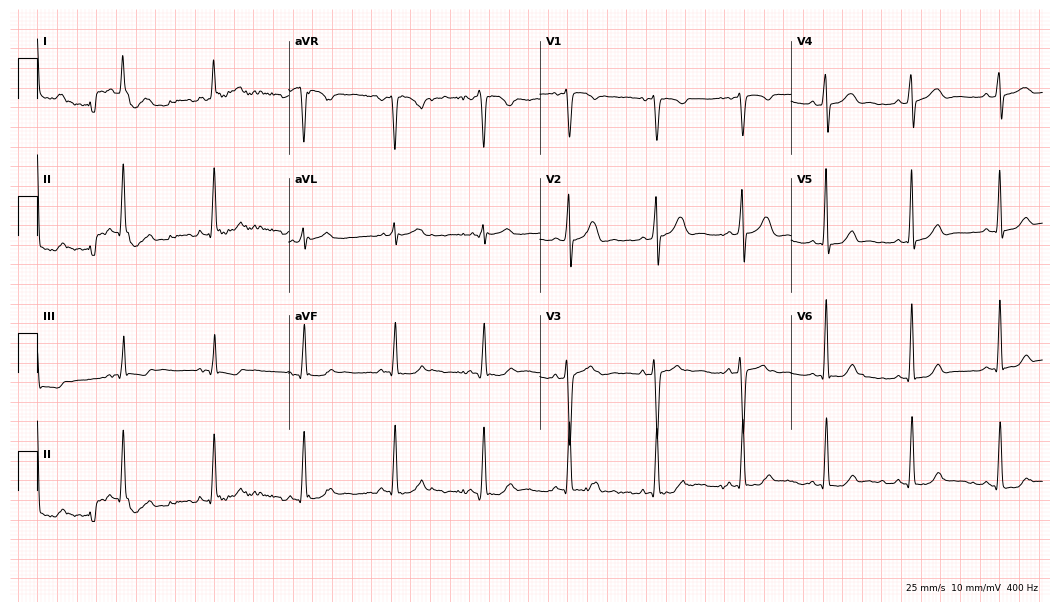
12-lead ECG from a 42-year-old female. Recorded interpretation: within normal limits.